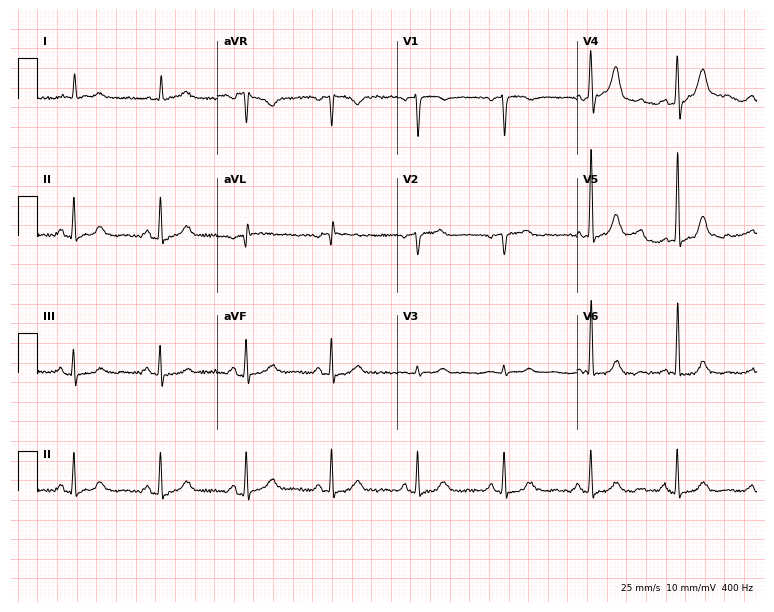
12-lead ECG from a 78-year-old female. Recorded interpretation: within normal limits.